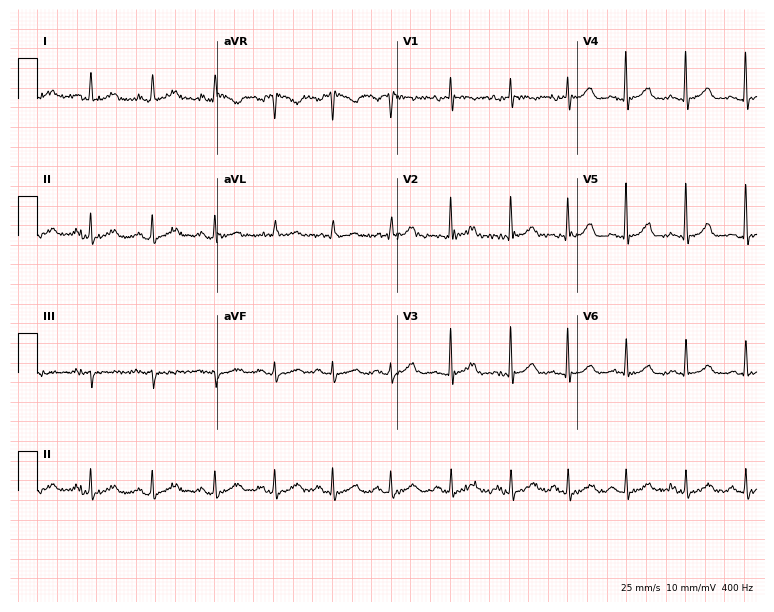
12-lead ECG (7.3-second recording at 400 Hz) from a female, 65 years old. Screened for six findings — first-degree AV block, right bundle branch block, left bundle branch block, sinus bradycardia, atrial fibrillation, sinus tachycardia — none is recorded.